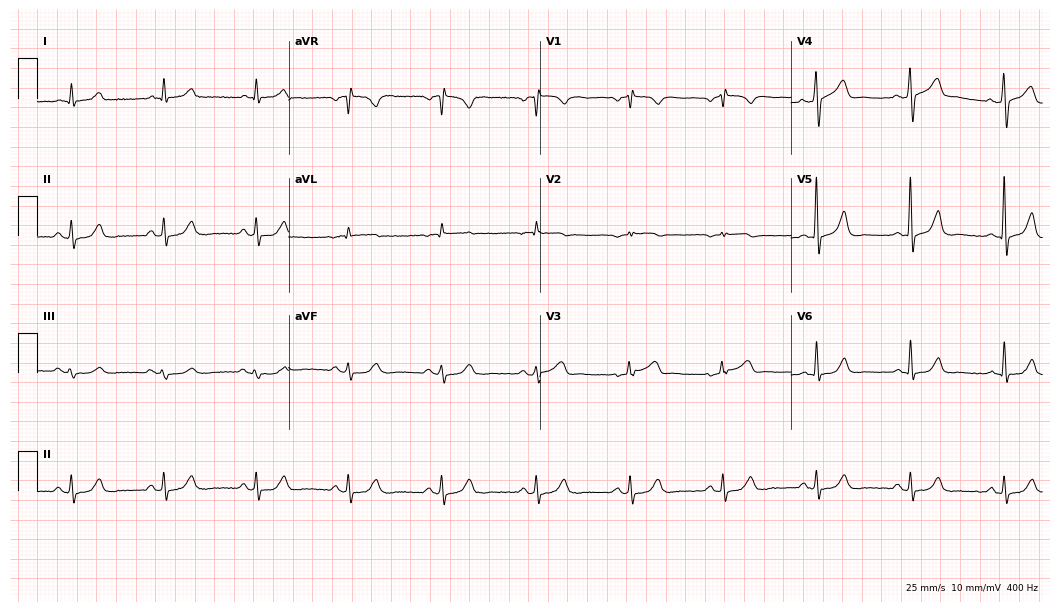
Resting 12-lead electrocardiogram (10.2-second recording at 400 Hz). Patient: a male, 64 years old. Read as a normal ECG.